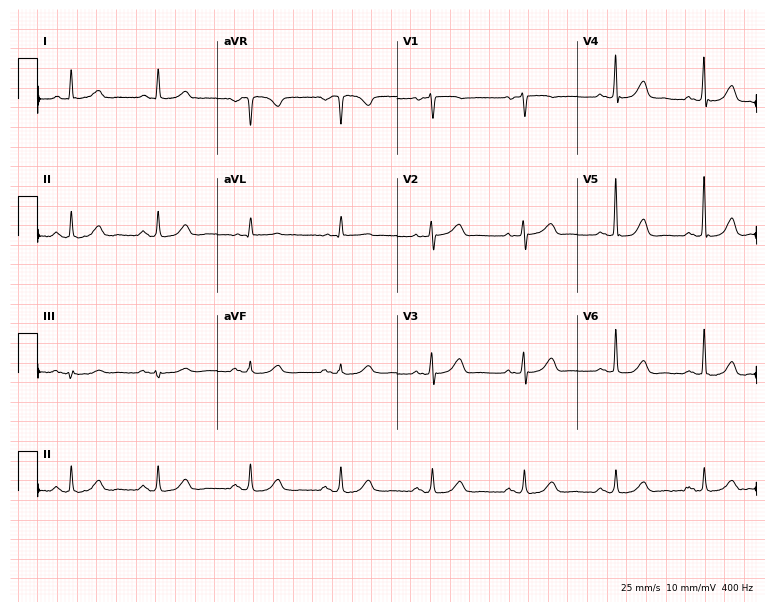
Standard 12-lead ECG recorded from a female, 72 years old. None of these six findings is recorded: first-degree AV block, right bundle branch block, left bundle branch block, sinus bradycardia, atrial fibrillation, sinus tachycardia. Only these six findings were labelled.